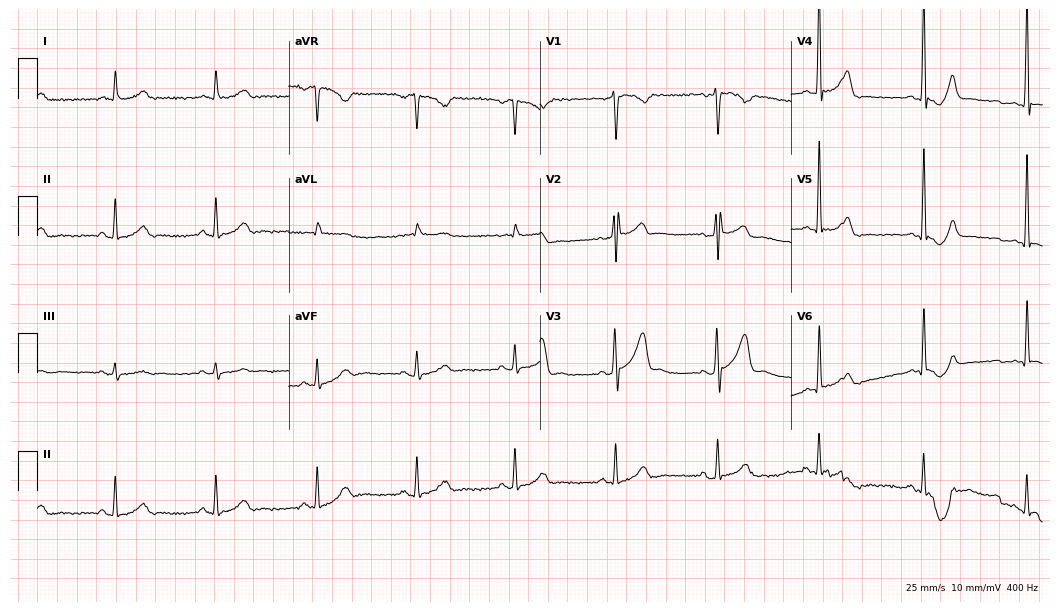
Standard 12-lead ECG recorded from a 43-year-old male. Read as a normal ECG.